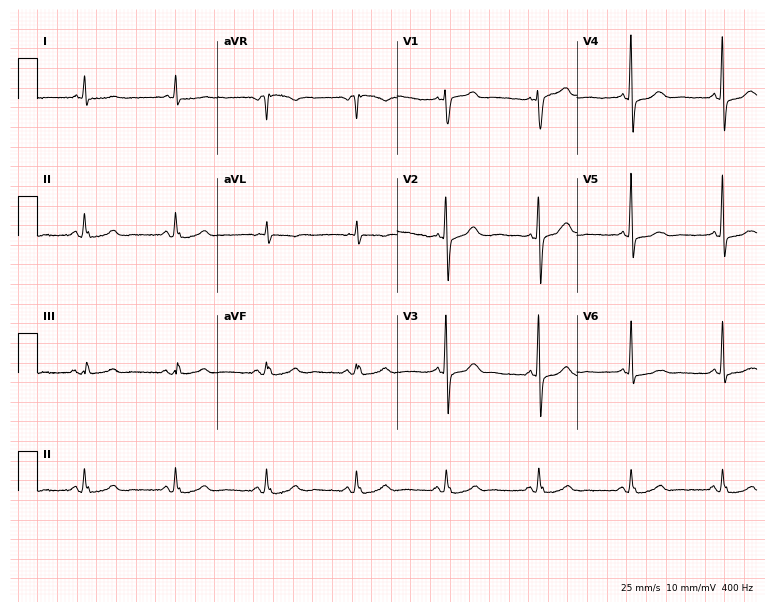
12-lead ECG from a male patient, 83 years old. No first-degree AV block, right bundle branch block, left bundle branch block, sinus bradycardia, atrial fibrillation or sinus tachycardia recorded for this tracing.